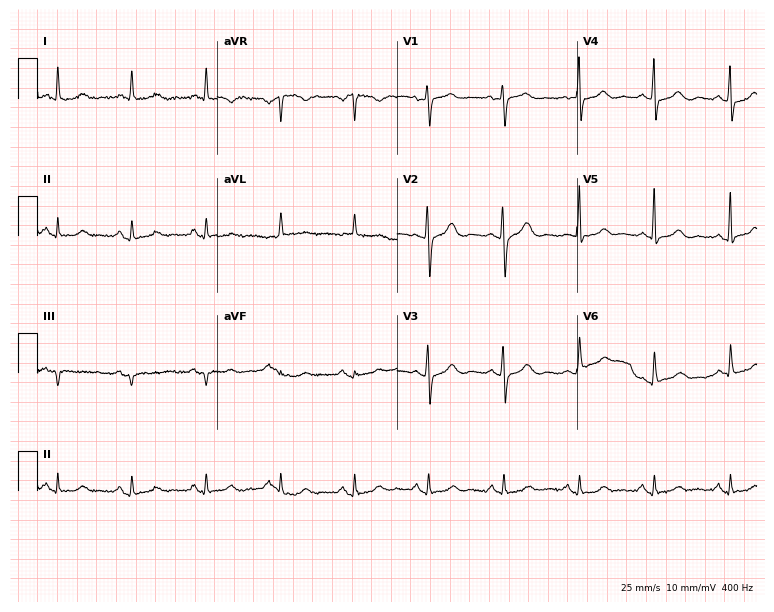
Resting 12-lead electrocardiogram. Patient: a female, 81 years old. Read as a normal ECG.